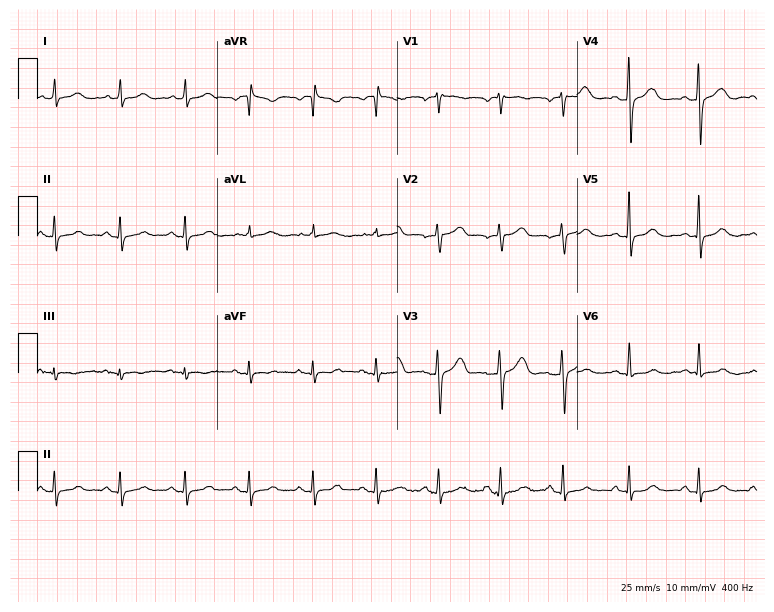
12-lead ECG from a 59-year-old female. Labelled as a normal ECG.